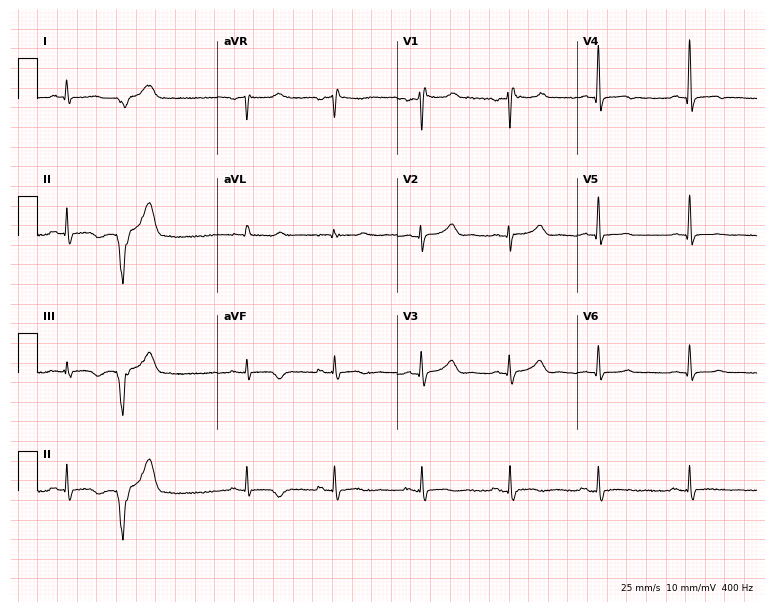
12-lead ECG from a 44-year-old female patient. No first-degree AV block, right bundle branch block (RBBB), left bundle branch block (LBBB), sinus bradycardia, atrial fibrillation (AF) or sinus tachycardia recorded for this tracing. Findings outside these six are not listed.